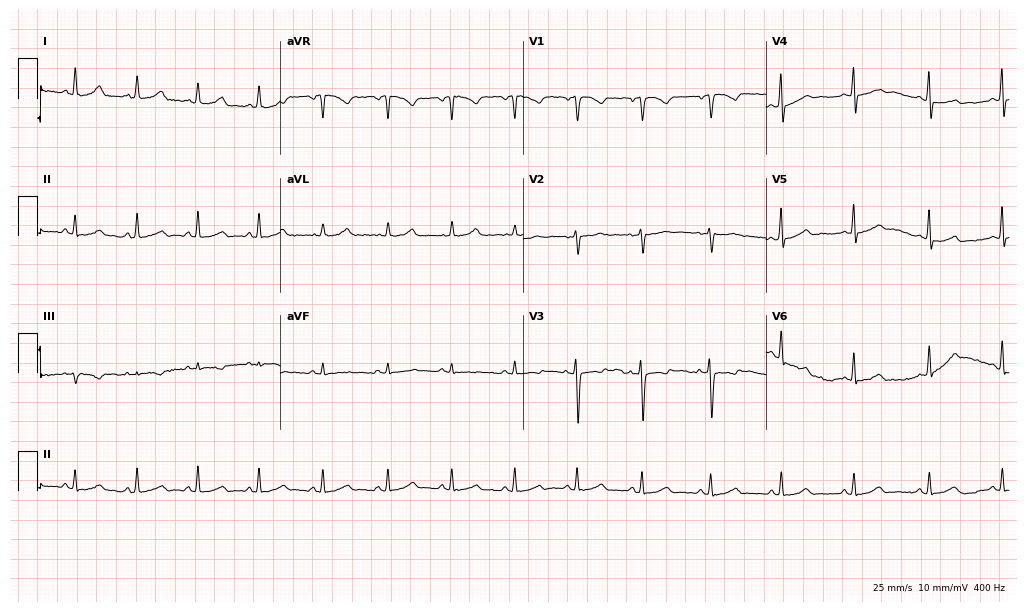
ECG (9.9-second recording at 400 Hz) — a female patient, 24 years old. Labelled as a normal ECG.